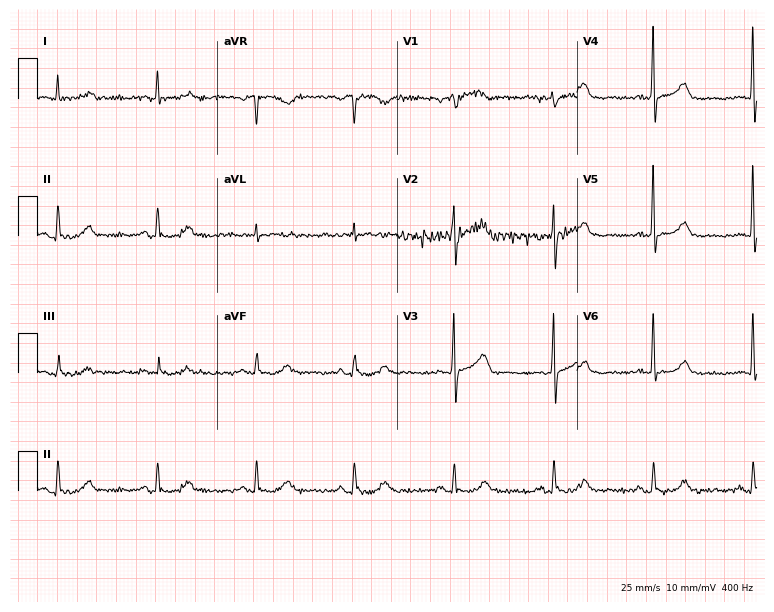
12-lead ECG (7.3-second recording at 400 Hz) from a man, 85 years old. Screened for six findings — first-degree AV block, right bundle branch block, left bundle branch block, sinus bradycardia, atrial fibrillation, sinus tachycardia — none is recorded. Other findings, if any, are not listed.